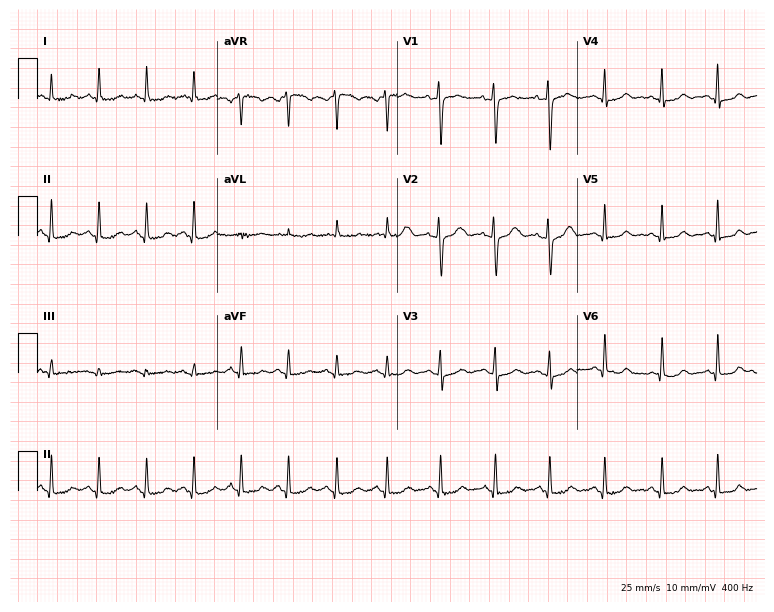
Resting 12-lead electrocardiogram (7.3-second recording at 400 Hz). Patient: a 45-year-old female. The tracing shows sinus tachycardia (a sinus rate of 100 beats per minute or more).